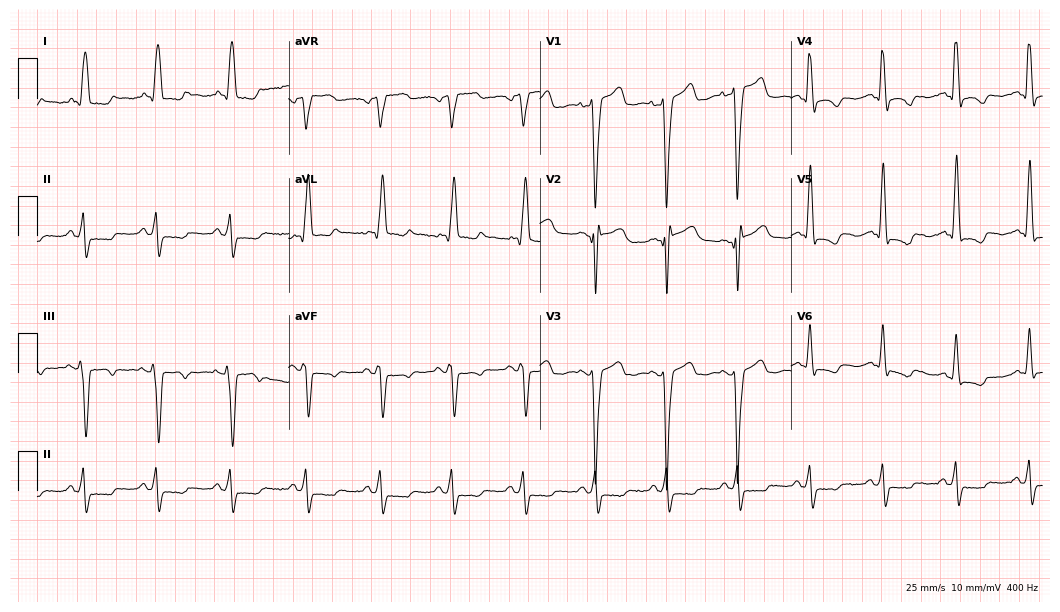
ECG (10.2-second recording at 400 Hz) — a male, 72 years old. Findings include left bundle branch block.